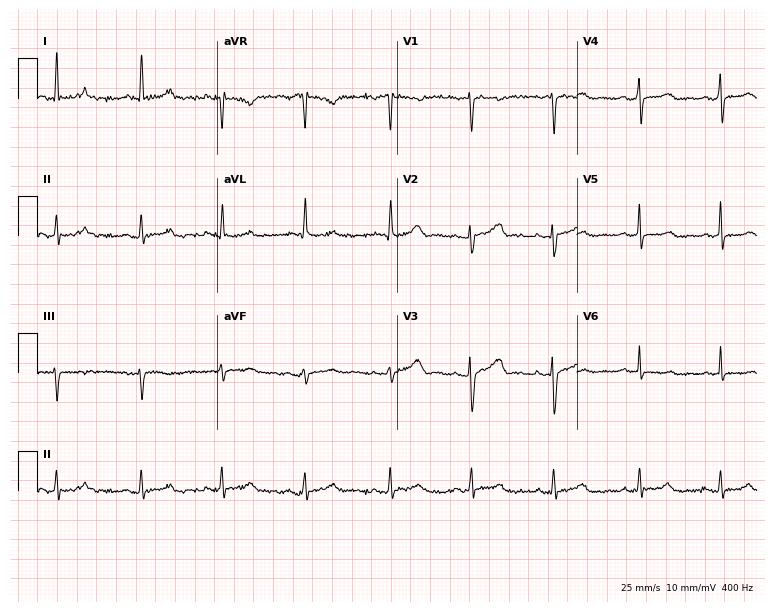
Standard 12-lead ECG recorded from a 38-year-old woman. Read as a normal ECG.